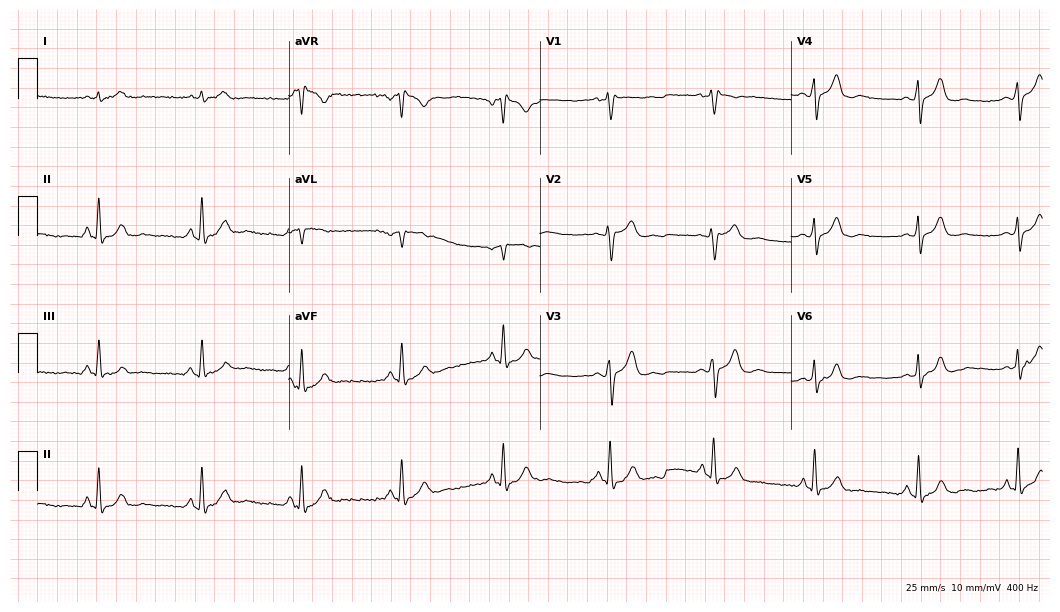
Electrocardiogram (10.2-second recording at 400 Hz), a man, 50 years old. Of the six screened findings (first-degree AV block, right bundle branch block, left bundle branch block, sinus bradycardia, atrial fibrillation, sinus tachycardia), none is recorded.